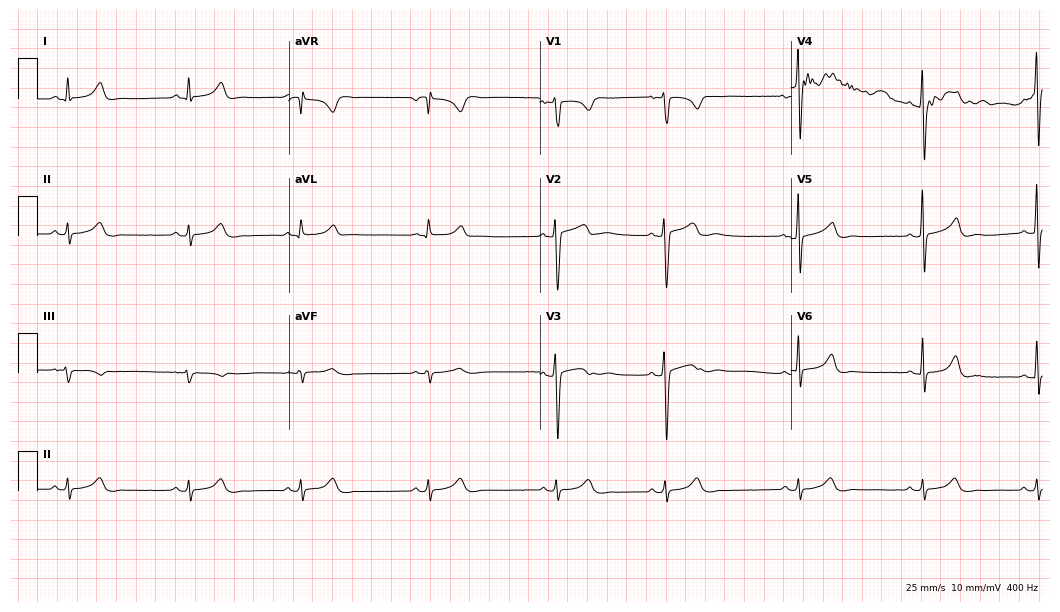
Standard 12-lead ECG recorded from a man, 27 years old (10.2-second recording at 400 Hz). None of these six findings is recorded: first-degree AV block, right bundle branch block, left bundle branch block, sinus bradycardia, atrial fibrillation, sinus tachycardia. Findings outside these six are not listed.